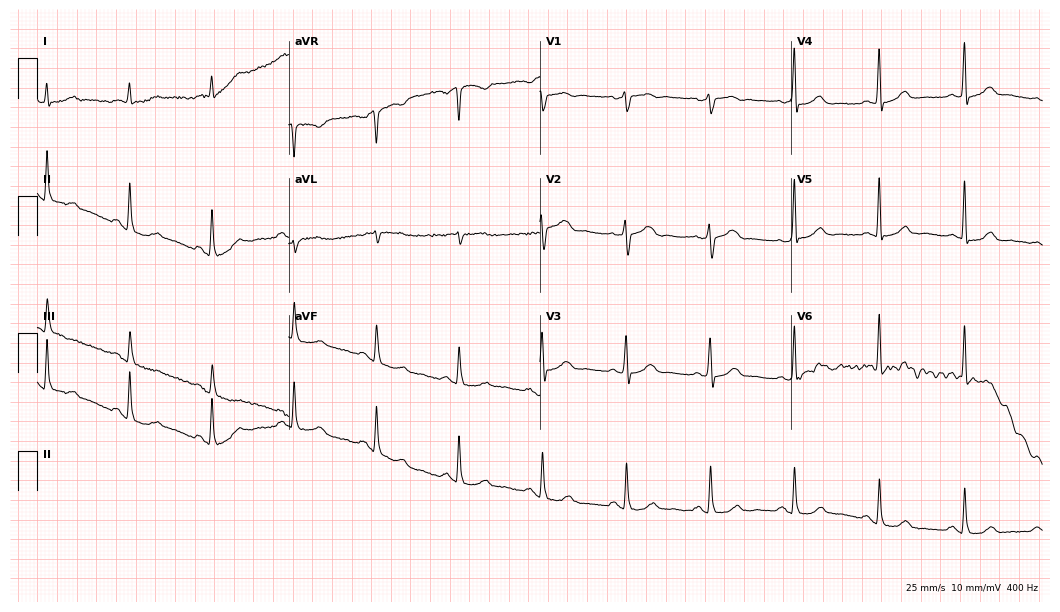
ECG (10.2-second recording at 400 Hz) — a man, 63 years old. Labelled as a normal ECG.